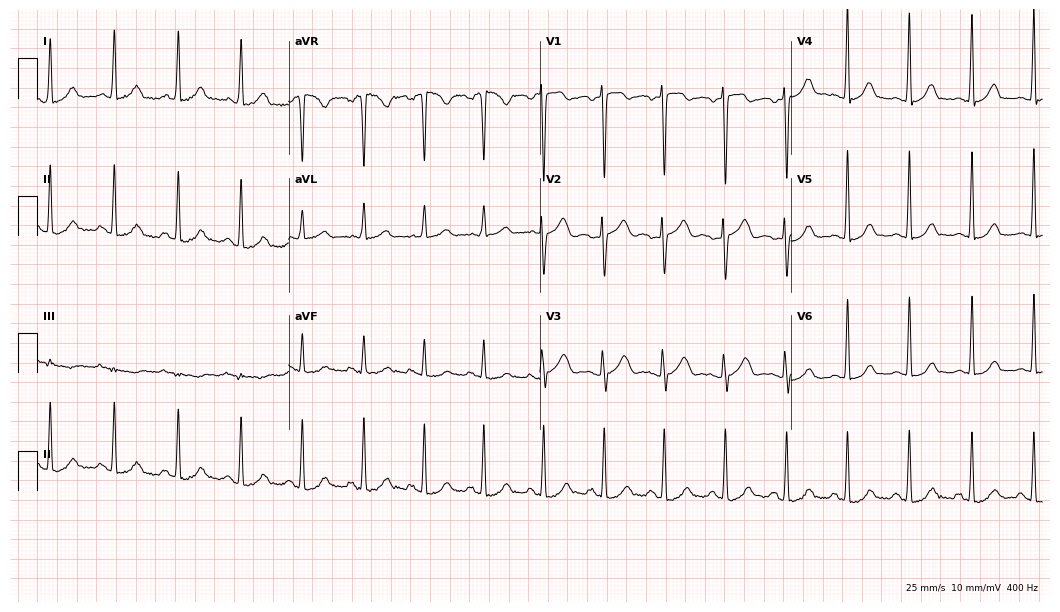
ECG (10.2-second recording at 400 Hz) — a 32-year-old female. Labelled as a normal ECG.